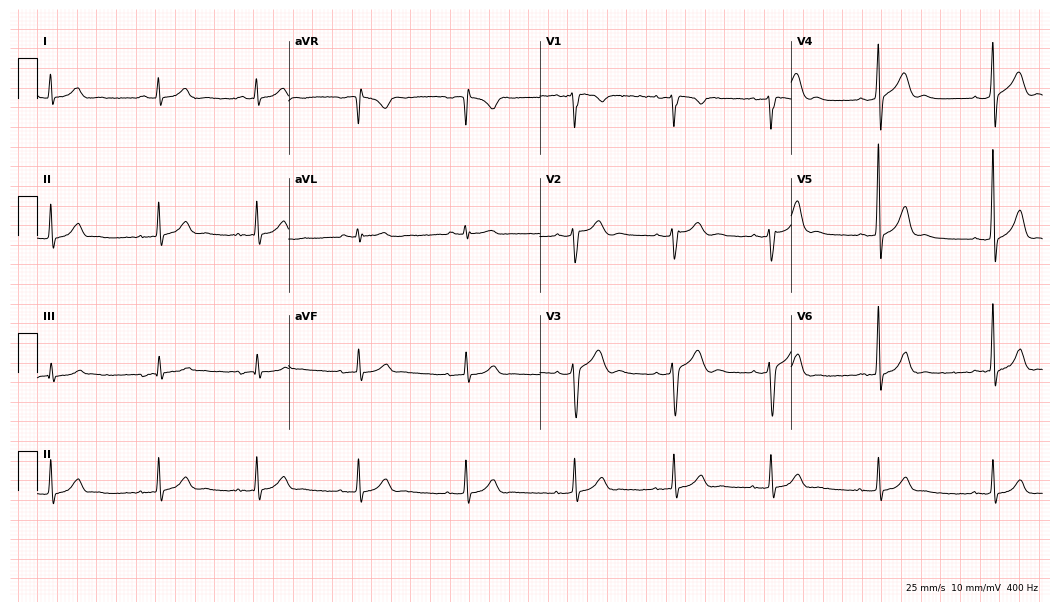
12-lead ECG from a 35-year-old man (10.2-second recording at 400 Hz). Recorded interpretation: within normal limits.